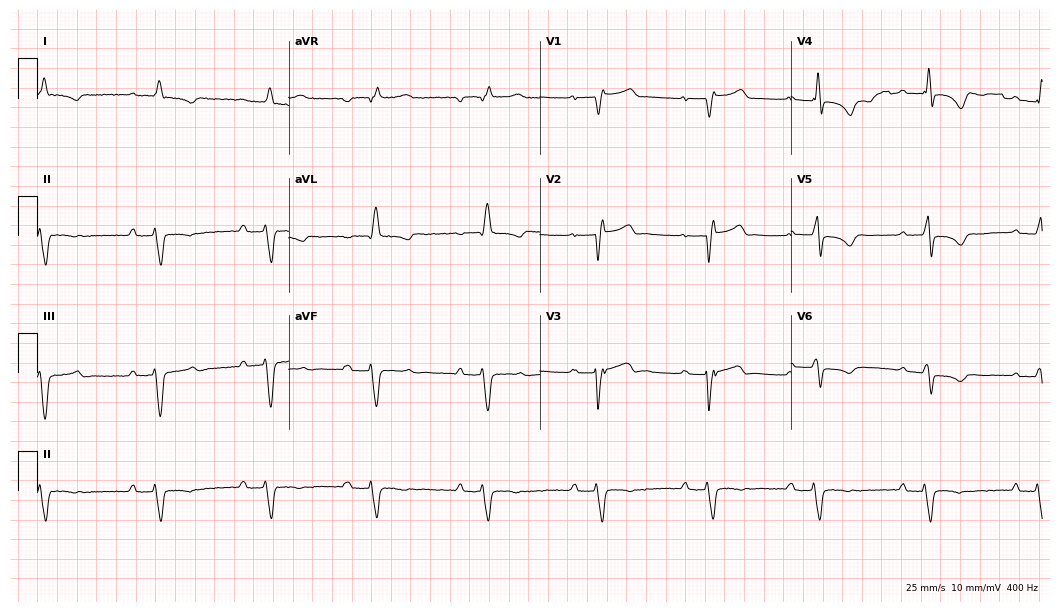
12-lead ECG from a 71-year-old male patient. Findings include first-degree AV block.